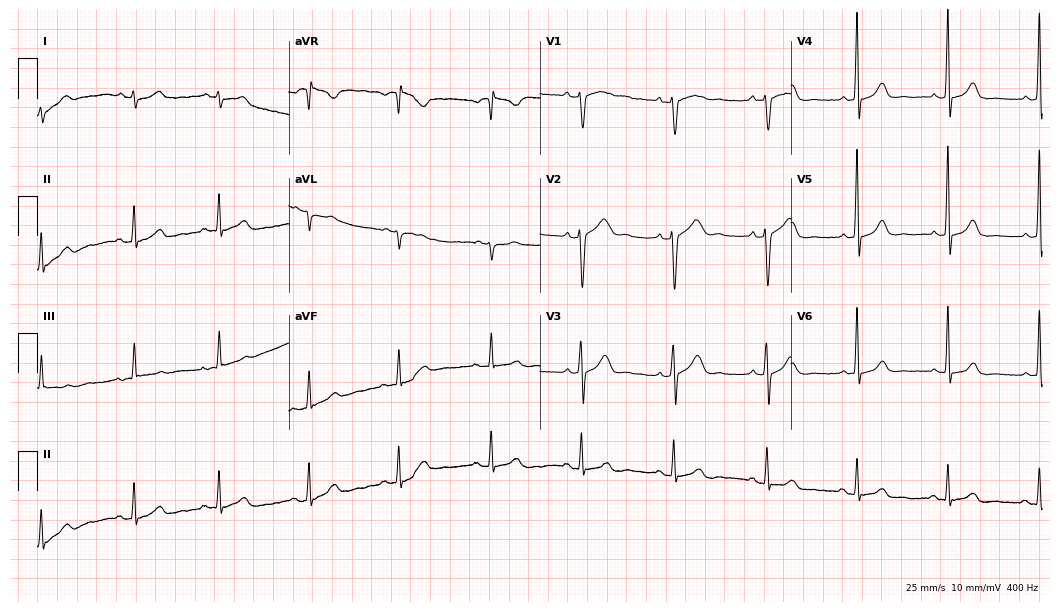
ECG — a female, 34 years old. Labelled as a normal ECG.